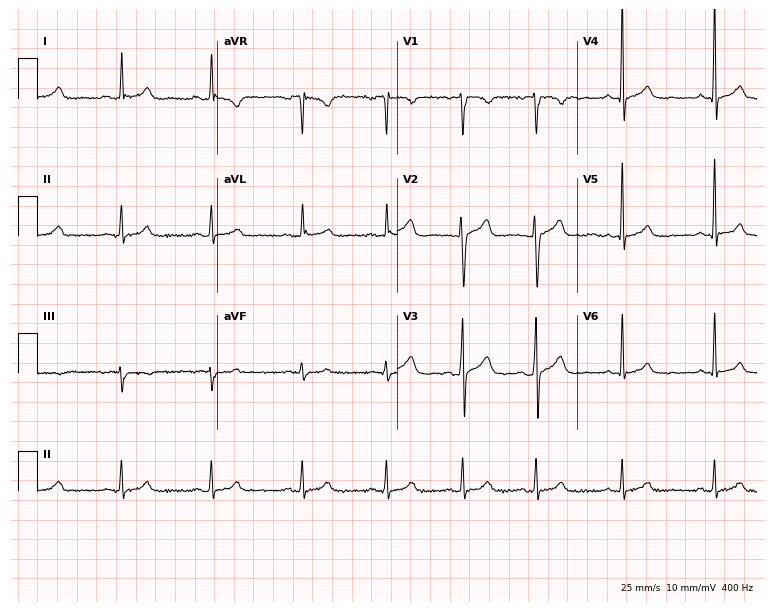
12-lead ECG (7.3-second recording at 400 Hz) from a 37-year-old male patient. Screened for six findings — first-degree AV block, right bundle branch block (RBBB), left bundle branch block (LBBB), sinus bradycardia, atrial fibrillation (AF), sinus tachycardia — none is recorded.